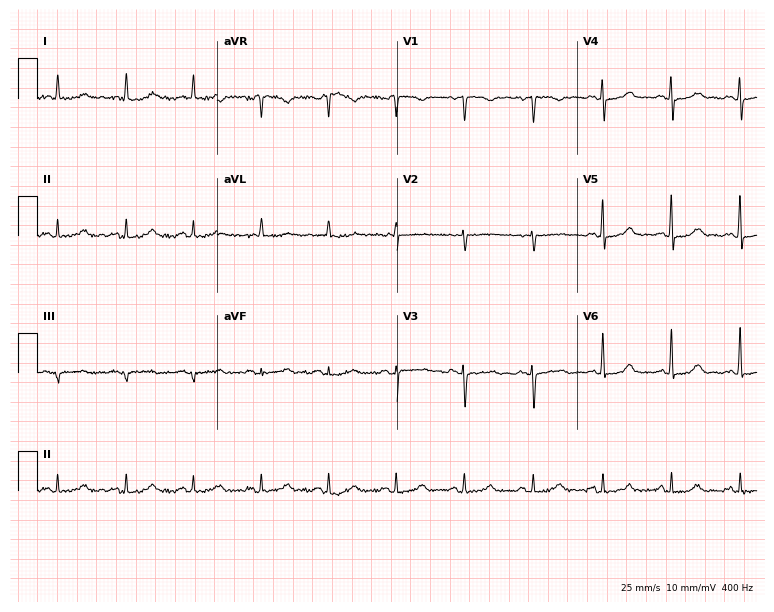
Electrocardiogram, a 70-year-old woman. Of the six screened findings (first-degree AV block, right bundle branch block (RBBB), left bundle branch block (LBBB), sinus bradycardia, atrial fibrillation (AF), sinus tachycardia), none is recorded.